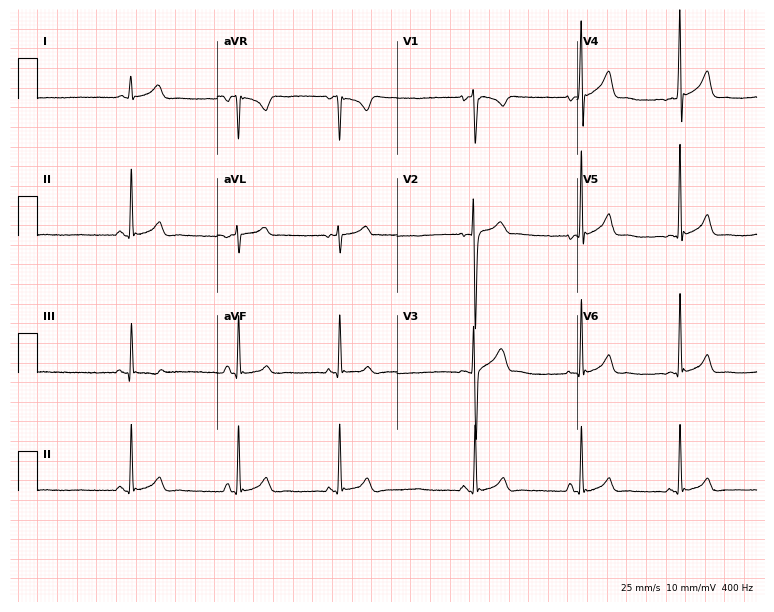
Electrocardiogram (7.3-second recording at 400 Hz), a 17-year-old male patient. Overall reading on record: normal ECG.